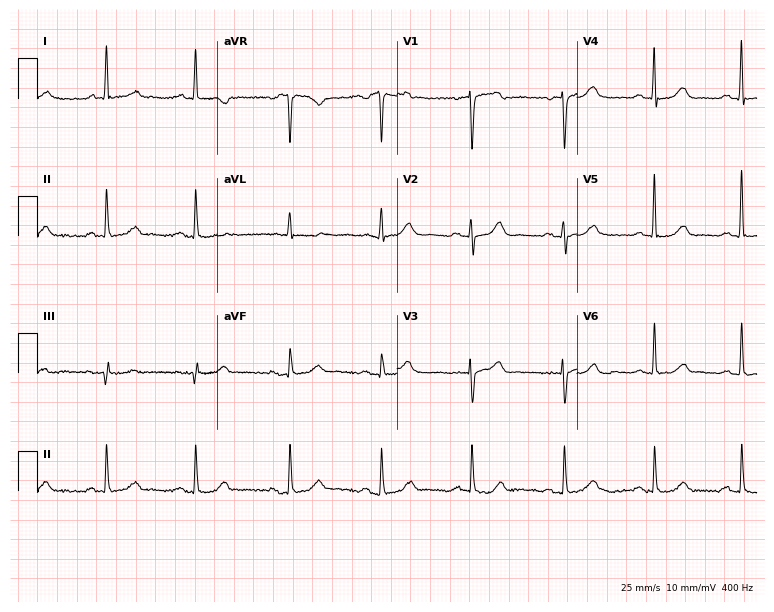
12-lead ECG from a female, 78 years old (7.3-second recording at 400 Hz). Recorded interpretation: within normal limits.